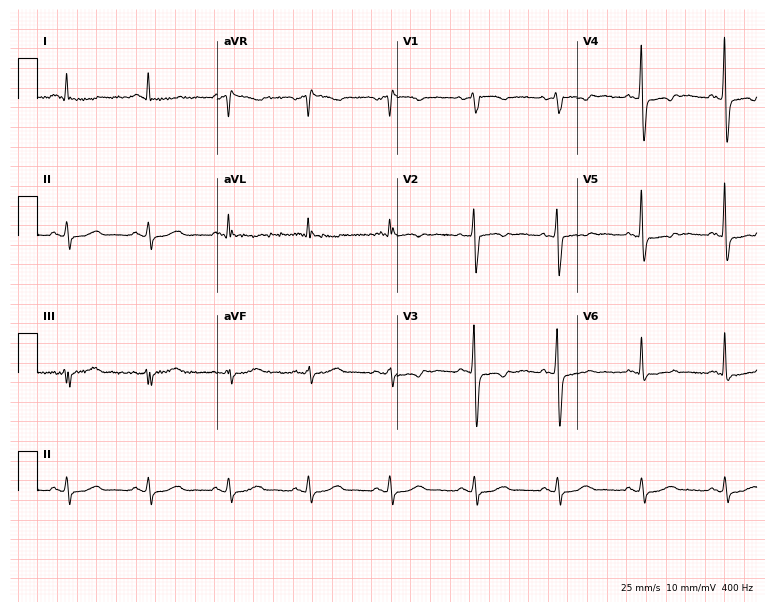
12-lead ECG from a woman, 55 years old. No first-degree AV block, right bundle branch block (RBBB), left bundle branch block (LBBB), sinus bradycardia, atrial fibrillation (AF) or sinus tachycardia recorded for this tracing.